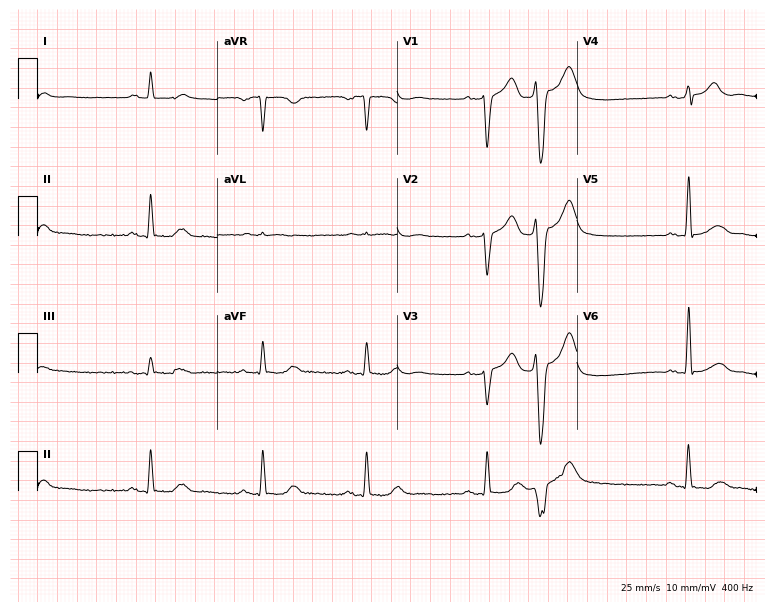
12-lead ECG from a 64-year-old man (7.3-second recording at 400 Hz). No first-degree AV block, right bundle branch block, left bundle branch block, sinus bradycardia, atrial fibrillation or sinus tachycardia recorded for this tracing.